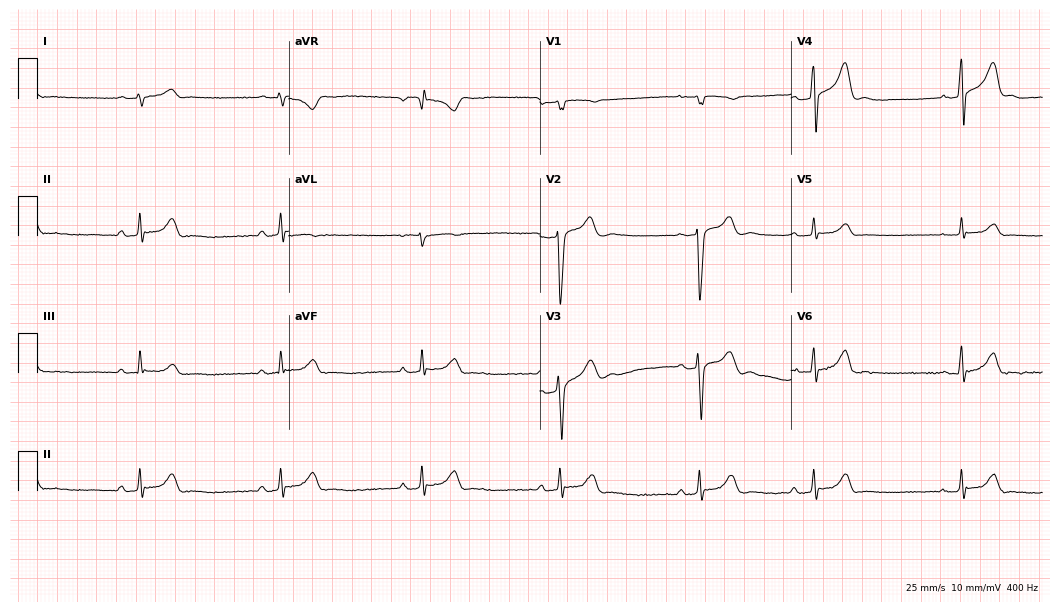
ECG — a 23-year-old male patient. Screened for six findings — first-degree AV block, right bundle branch block (RBBB), left bundle branch block (LBBB), sinus bradycardia, atrial fibrillation (AF), sinus tachycardia — none is recorded. Only these six findings were labelled.